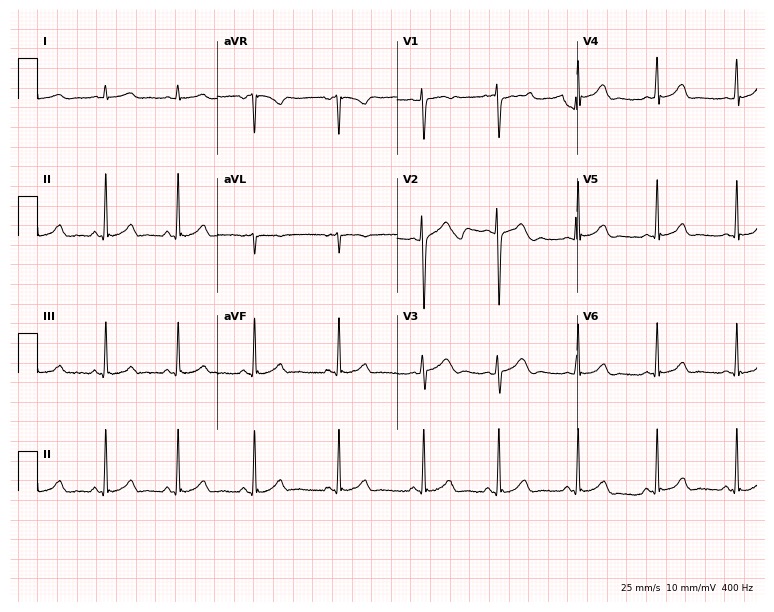
12-lead ECG from a 19-year-old woman (7.3-second recording at 400 Hz). Recorded interpretation: within normal limits.